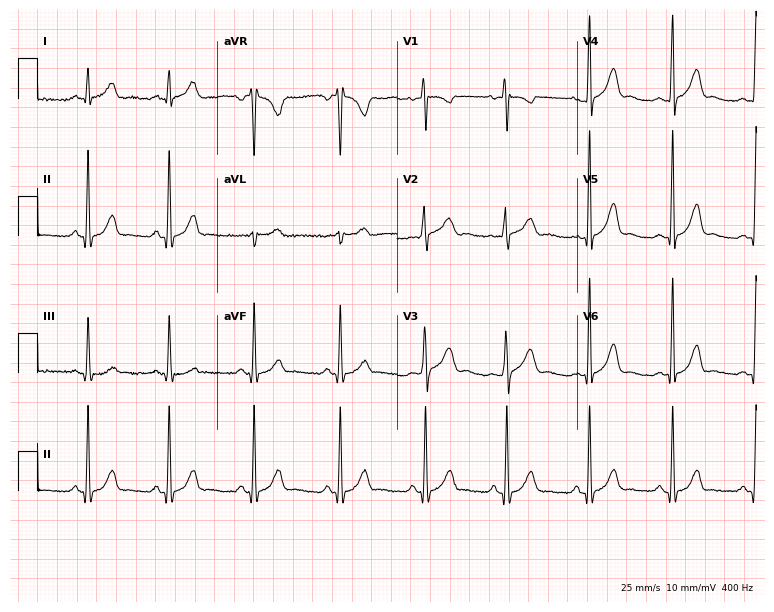
Standard 12-lead ECG recorded from a 36-year-old female (7.3-second recording at 400 Hz). None of these six findings is recorded: first-degree AV block, right bundle branch block, left bundle branch block, sinus bradycardia, atrial fibrillation, sinus tachycardia. Only these six findings were labelled.